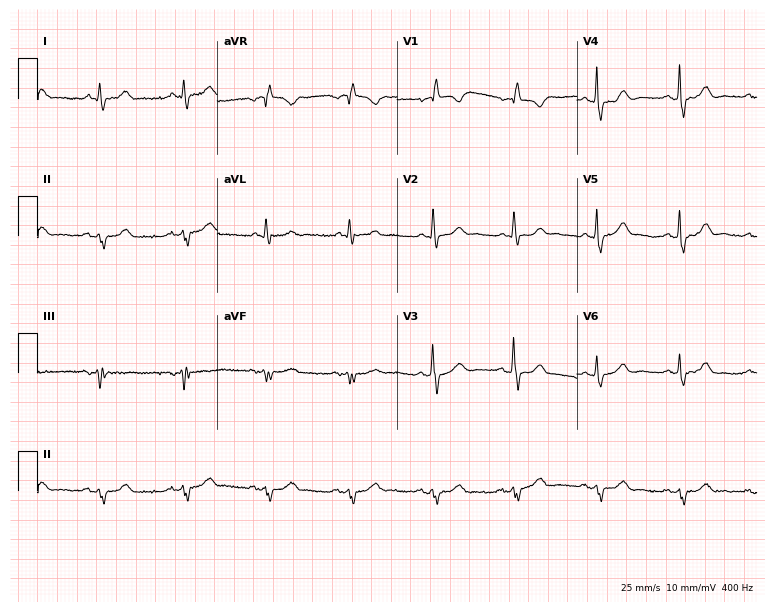
ECG (7.3-second recording at 400 Hz) — a male, 66 years old. Screened for six findings — first-degree AV block, right bundle branch block, left bundle branch block, sinus bradycardia, atrial fibrillation, sinus tachycardia — none is recorded. Other findings, if any, are not listed.